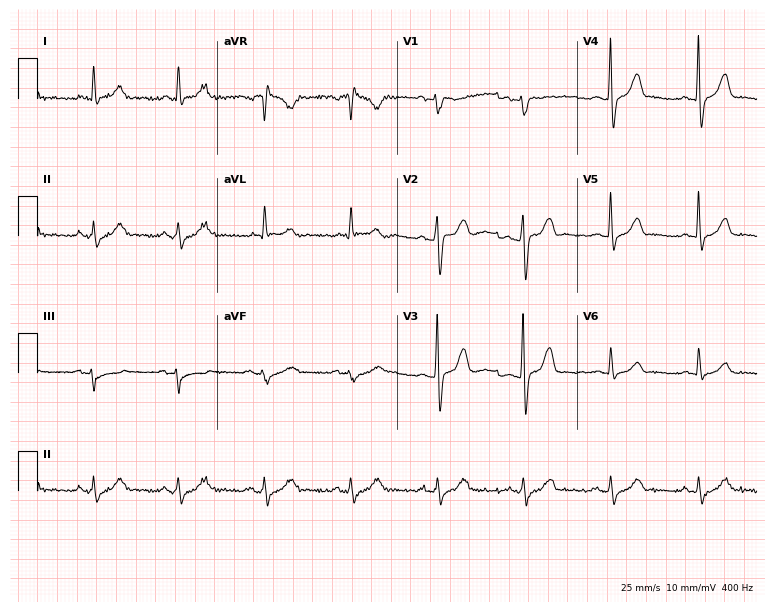
12-lead ECG from a man, 73 years old (7.3-second recording at 400 Hz). Recorded interpretation: within normal limits.